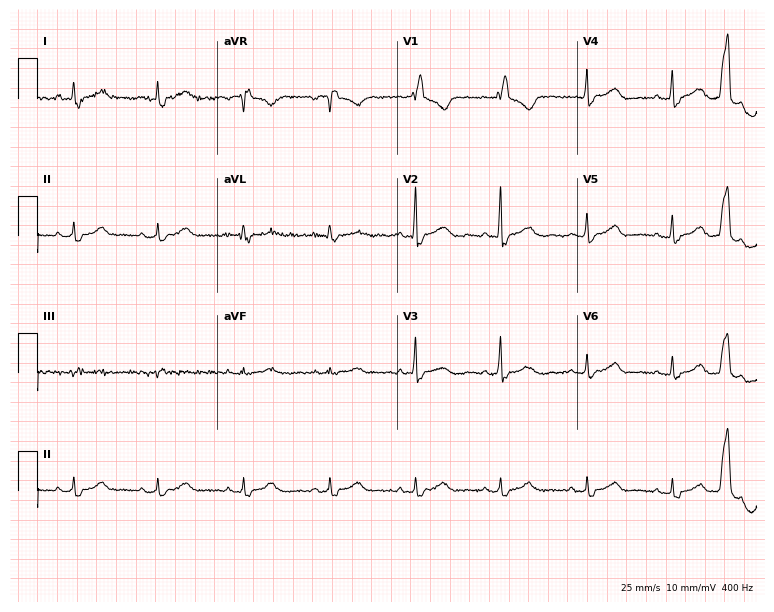
12-lead ECG from a woman, 60 years old (7.3-second recording at 400 Hz). Shows right bundle branch block (RBBB).